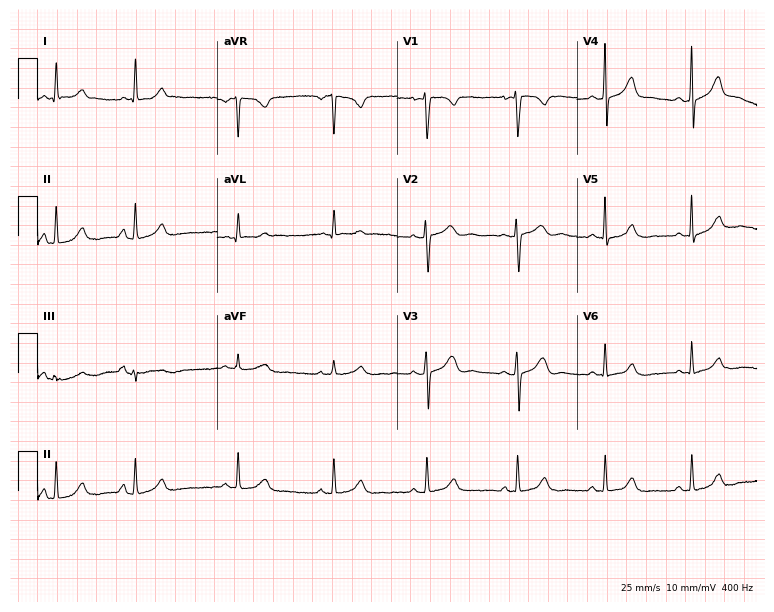
12-lead ECG from a 19-year-old female patient (7.3-second recording at 400 Hz). No first-degree AV block, right bundle branch block, left bundle branch block, sinus bradycardia, atrial fibrillation or sinus tachycardia recorded for this tracing.